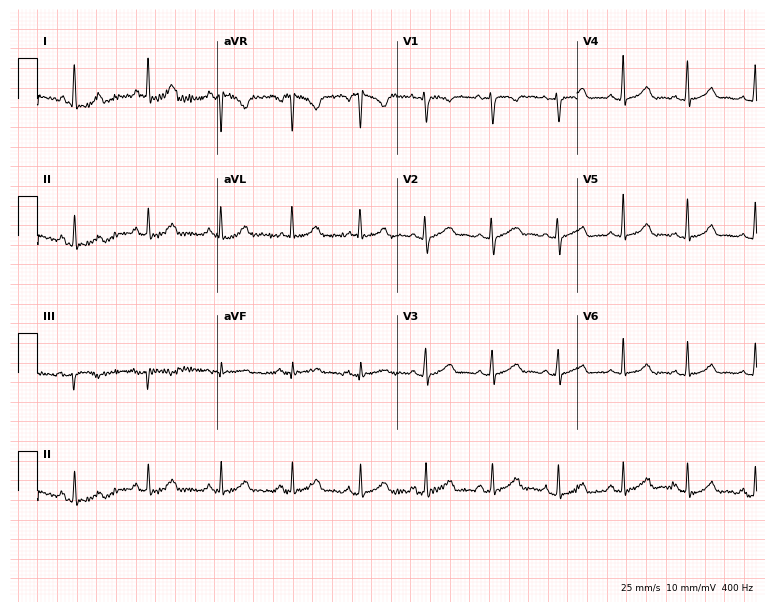
Electrocardiogram (7.3-second recording at 400 Hz), a 29-year-old female. Of the six screened findings (first-degree AV block, right bundle branch block (RBBB), left bundle branch block (LBBB), sinus bradycardia, atrial fibrillation (AF), sinus tachycardia), none is recorded.